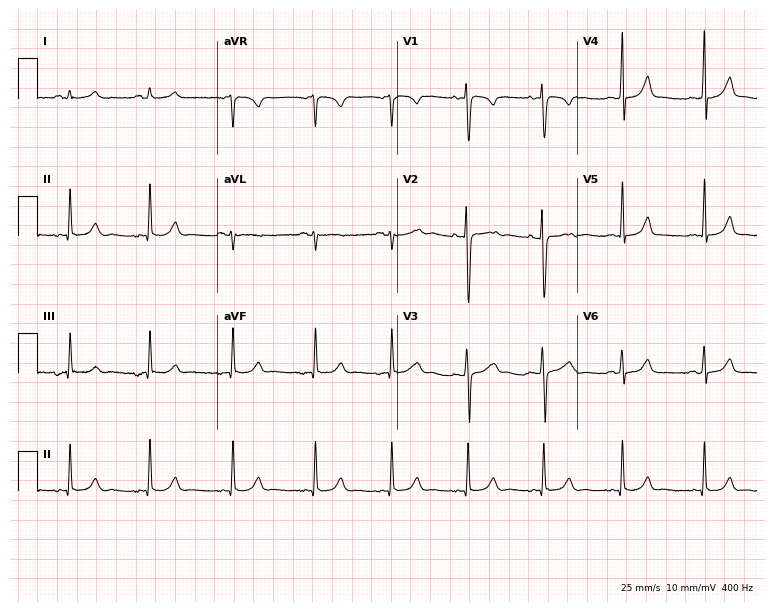
Electrocardiogram (7.3-second recording at 400 Hz), a woman, 20 years old. Overall reading on record: normal ECG.